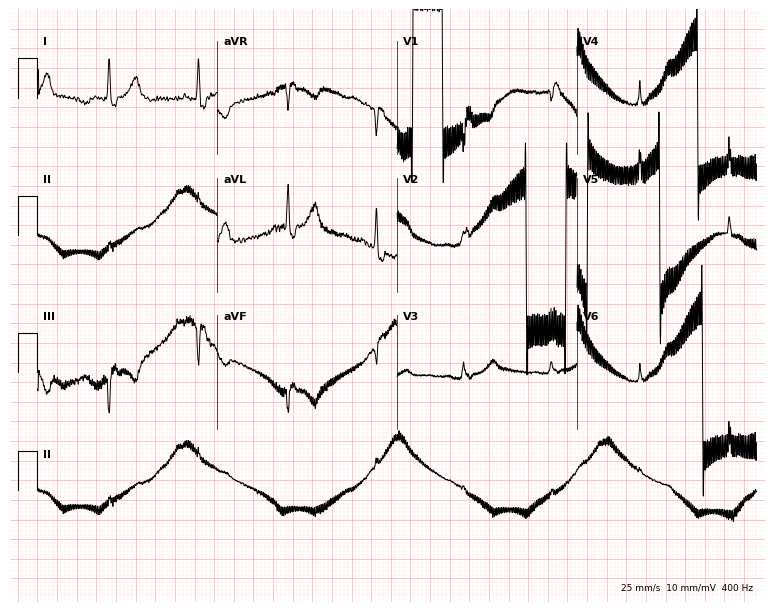
Resting 12-lead electrocardiogram (7.3-second recording at 400 Hz). Patient: a 78-year-old female. None of these six findings is recorded: first-degree AV block, right bundle branch block, left bundle branch block, sinus bradycardia, atrial fibrillation, sinus tachycardia. Other findings, if any, are not listed.